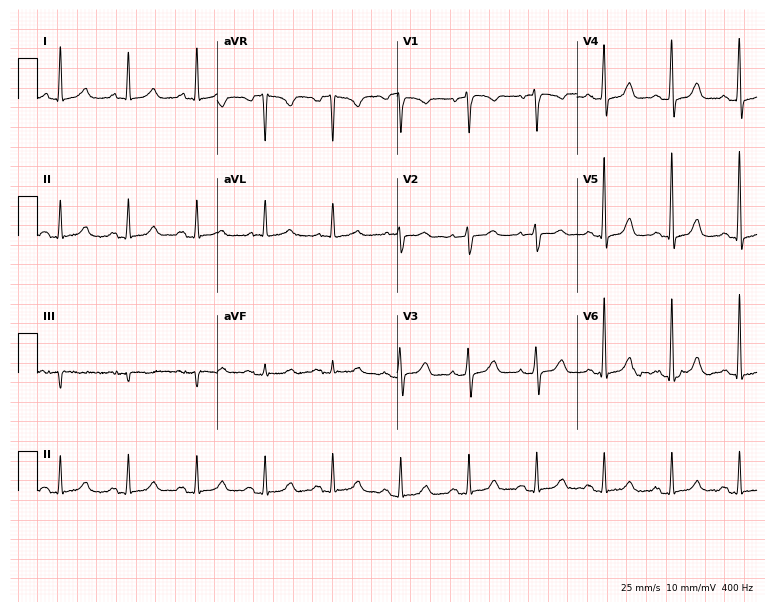
ECG — a 66-year-old female. Labelled as a normal ECG.